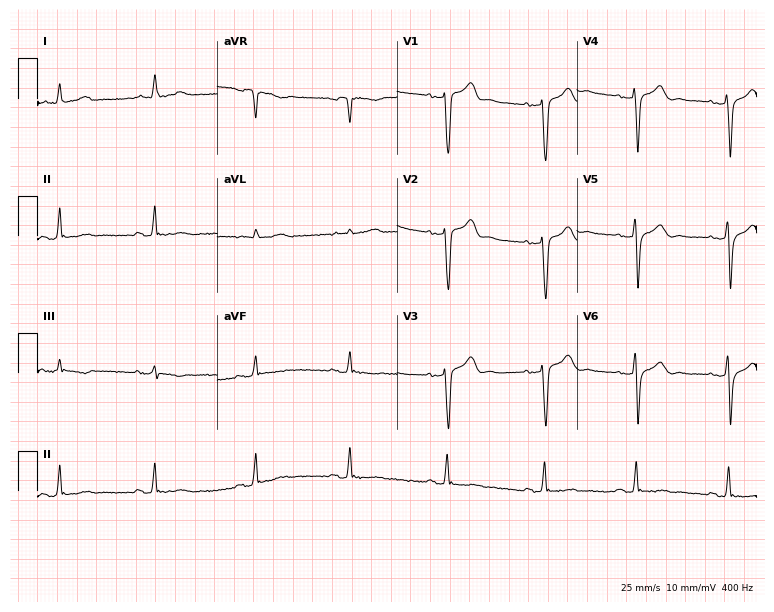
12-lead ECG from a male patient, 49 years old (7.3-second recording at 400 Hz). No first-degree AV block, right bundle branch block (RBBB), left bundle branch block (LBBB), sinus bradycardia, atrial fibrillation (AF) or sinus tachycardia recorded for this tracing. Only these six findings were labelled.